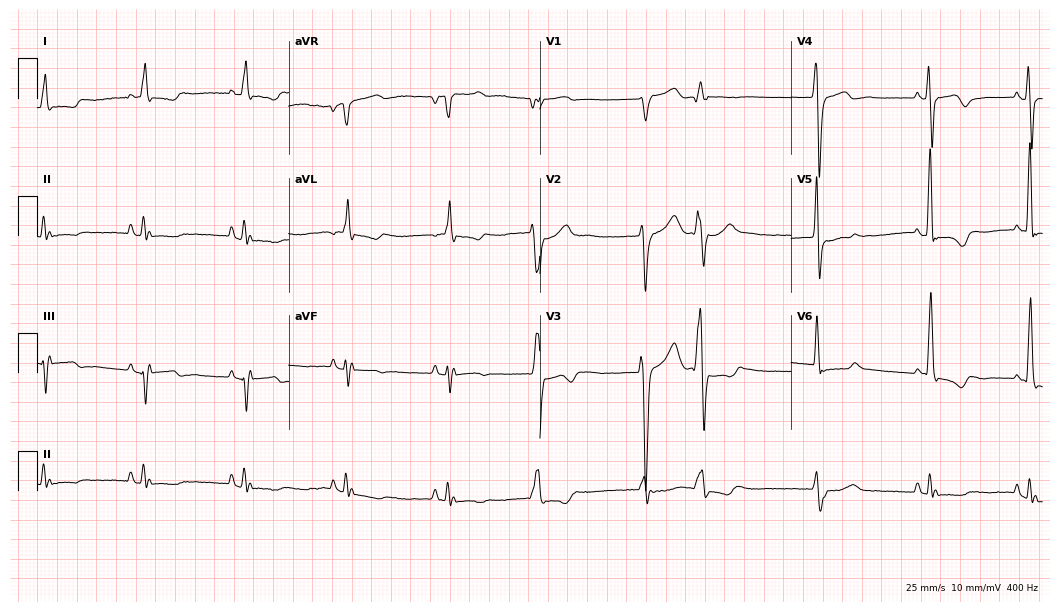
Standard 12-lead ECG recorded from a man, 69 years old. None of these six findings is recorded: first-degree AV block, right bundle branch block, left bundle branch block, sinus bradycardia, atrial fibrillation, sinus tachycardia.